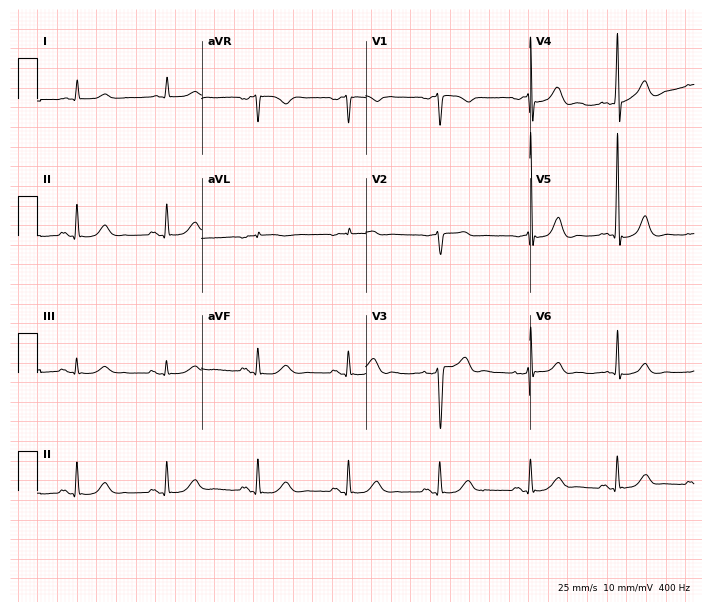
Standard 12-lead ECG recorded from a man, 71 years old (6.7-second recording at 400 Hz). None of these six findings is recorded: first-degree AV block, right bundle branch block, left bundle branch block, sinus bradycardia, atrial fibrillation, sinus tachycardia. Only these six findings were labelled.